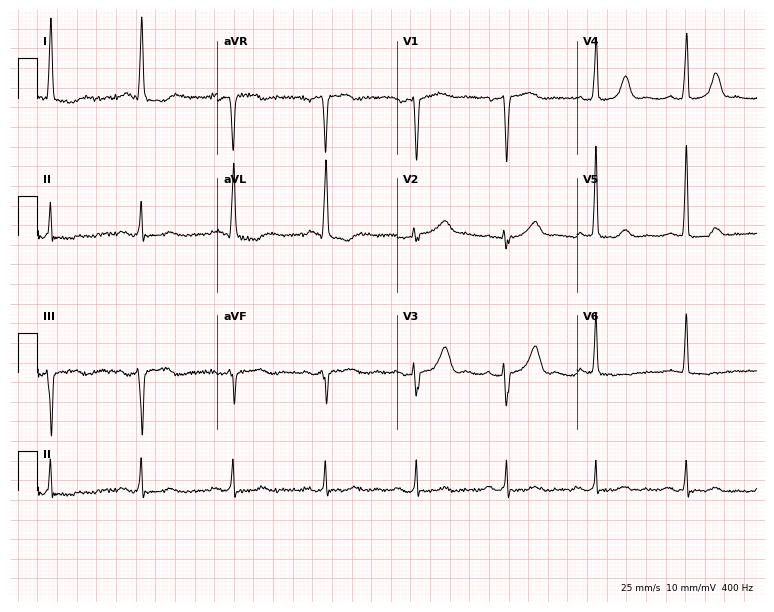
Electrocardiogram (7.3-second recording at 400 Hz), a 74-year-old female patient. Of the six screened findings (first-degree AV block, right bundle branch block, left bundle branch block, sinus bradycardia, atrial fibrillation, sinus tachycardia), none is recorded.